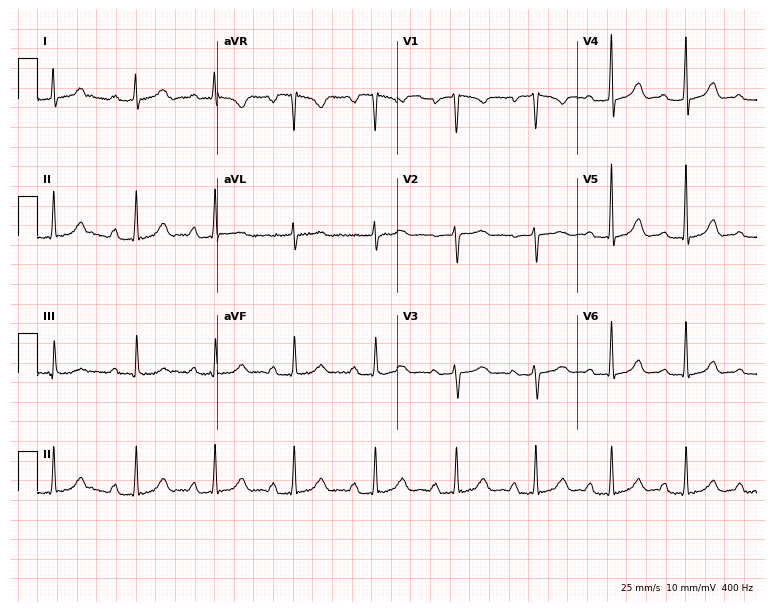
12-lead ECG from a 37-year-old female patient. Findings include first-degree AV block.